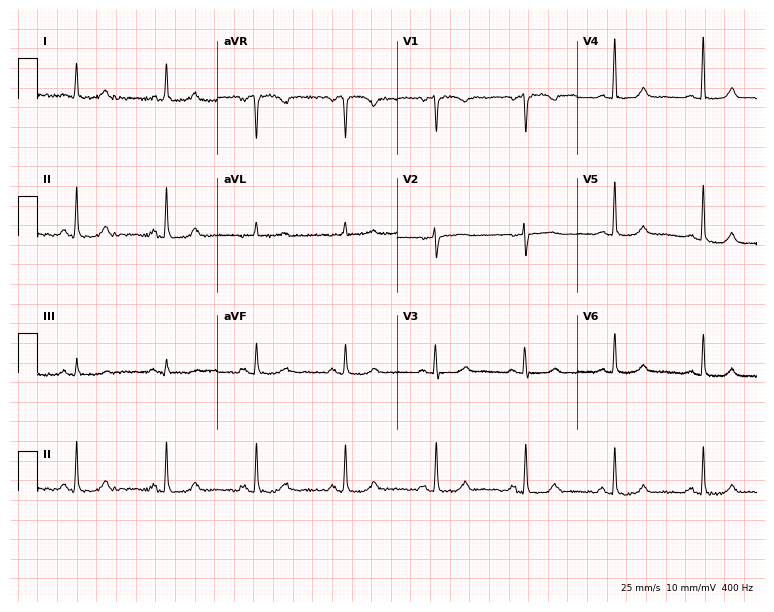
Electrocardiogram, a 77-year-old female patient. Of the six screened findings (first-degree AV block, right bundle branch block (RBBB), left bundle branch block (LBBB), sinus bradycardia, atrial fibrillation (AF), sinus tachycardia), none is recorded. Other findings, if any, are not listed.